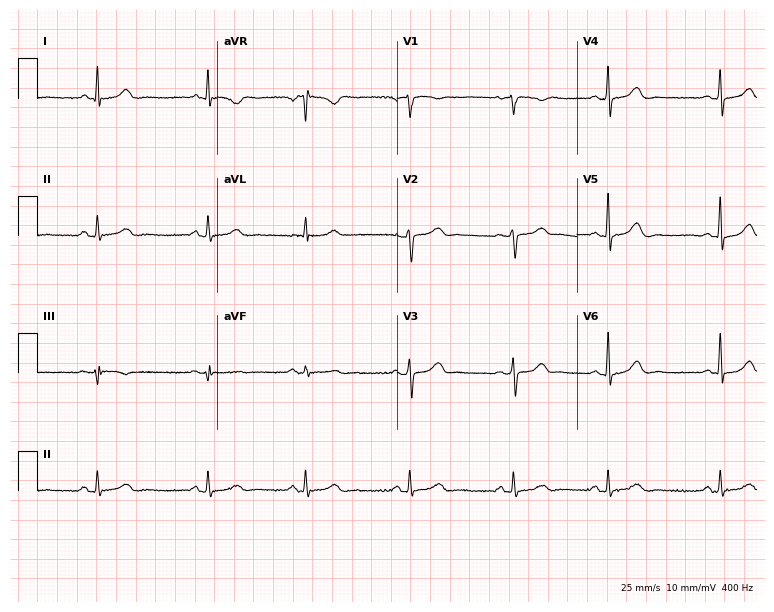
12-lead ECG (7.3-second recording at 400 Hz) from a woman, 47 years old. Labelled as a normal ECG.